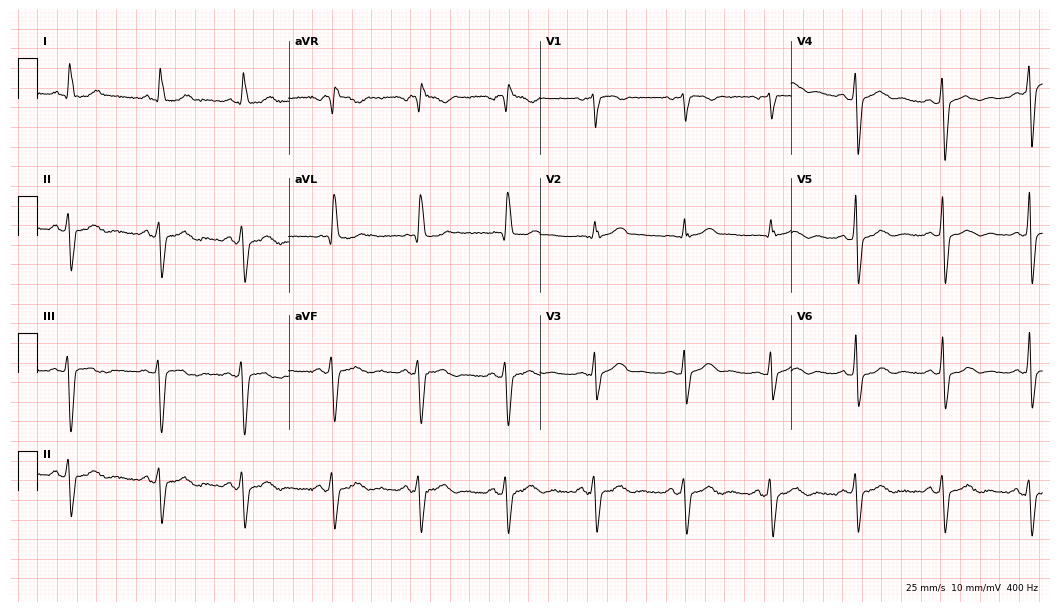
Standard 12-lead ECG recorded from a female patient, 59 years old. None of these six findings is recorded: first-degree AV block, right bundle branch block (RBBB), left bundle branch block (LBBB), sinus bradycardia, atrial fibrillation (AF), sinus tachycardia. Other findings, if any, are not listed.